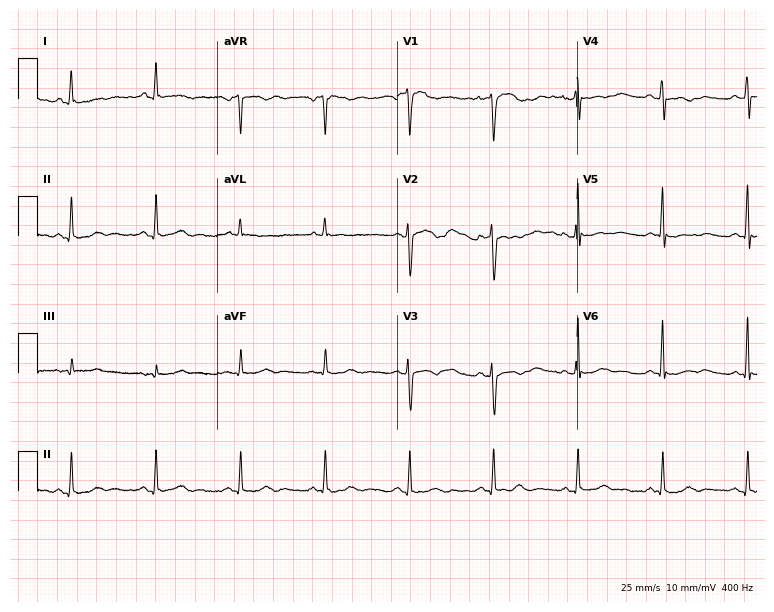
ECG — a woman, 40 years old. Screened for six findings — first-degree AV block, right bundle branch block, left bundle branch block, sinus bradycardia, atrial fibrillation, sinus tachycardia — none is recorded. Findings outside these six are not listed.